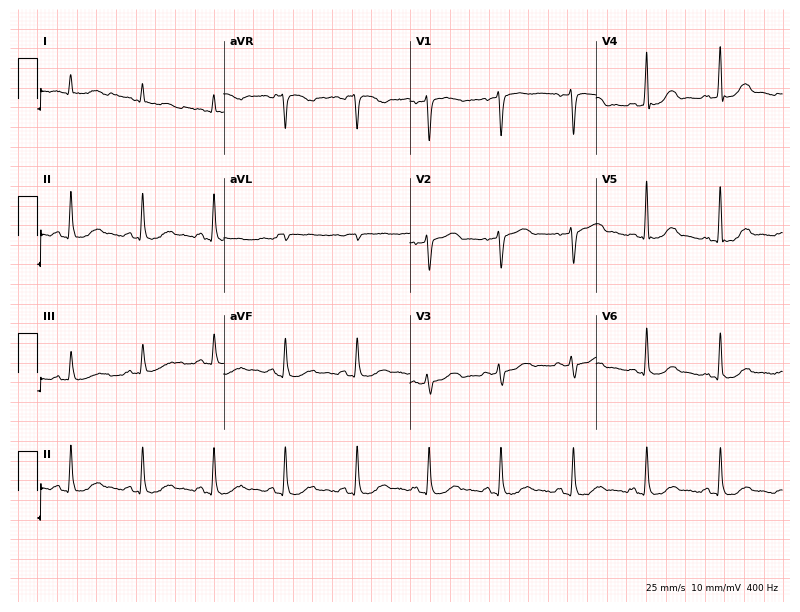
12-lead ECG (7.6-second recording at 400 Hz) from a 59-year-old female. Labelled as a normal ECG.